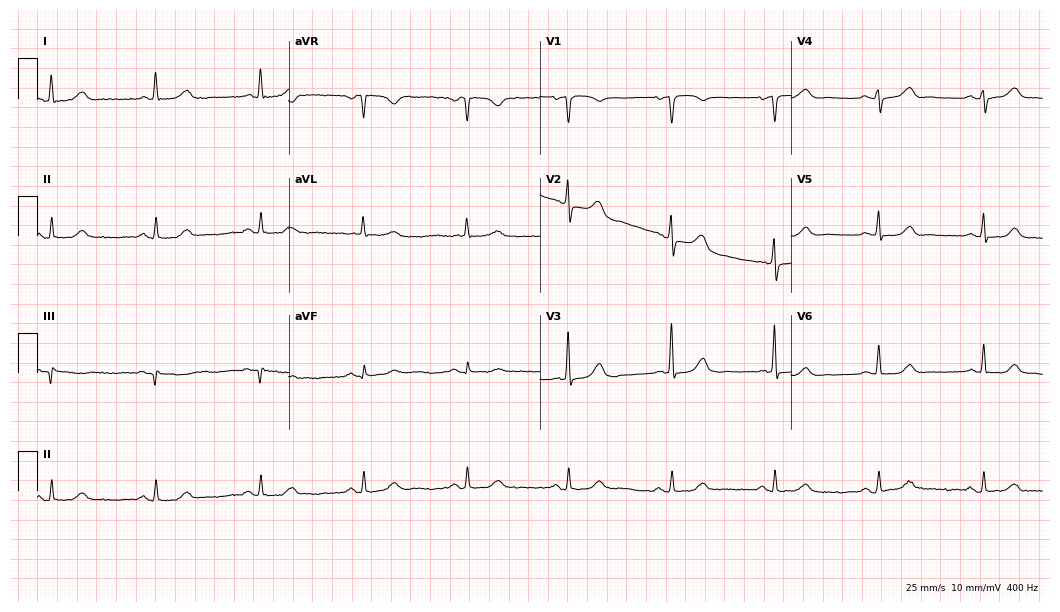
12-lead ECG from an 82-year-old female. Labelled as a normal ECG.